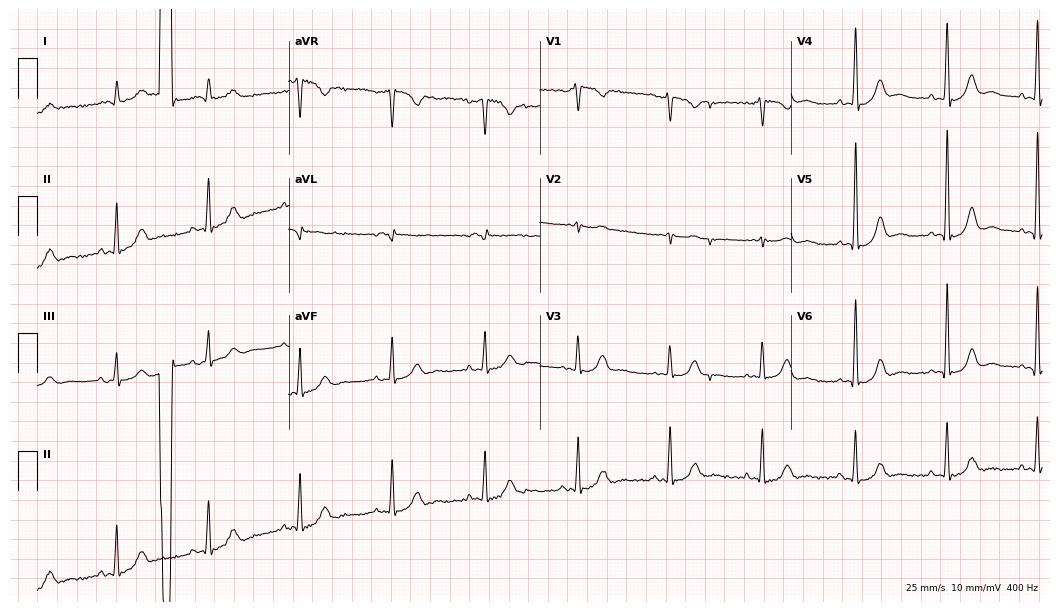
Resting 12-lead electrocardiogram (10.2-second recording at 400 Hz). Patient: a male, 74 years old. None of these six findings is recorded: first-degree AV block, right bundle branch block, left bundle branch block, sinus bradycardia, atrial fibrillation, sinus tachycardia.